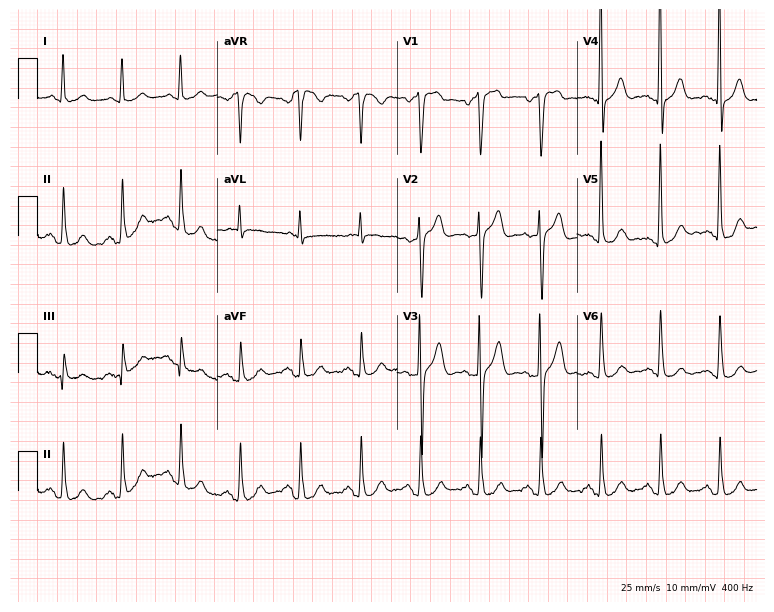
ECG (7.3-second recording at 400 Hz) — a 61-year-old male. Screened for six findings — first-degree AV block, right bundle branch block (RBBB), left bundle branch block (LBBB), sinus bradycardia, atrial fibrillation (AF), sinus tachycardia — none is recorded.